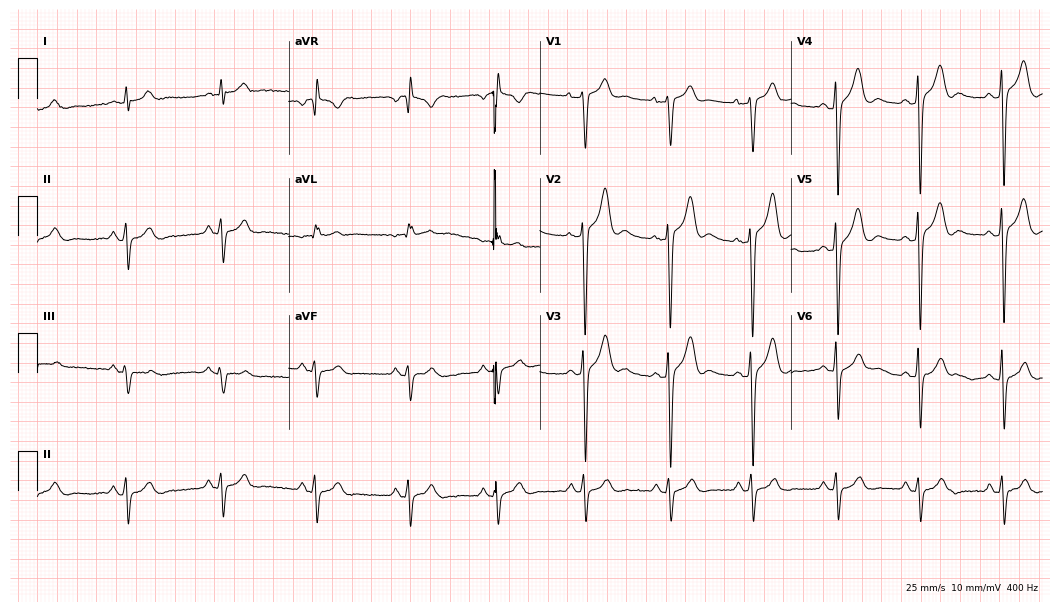
Resting 12-lead electrocardiogram. Patient: a male, 34 years old. None of these six findings is recorded: first-degree AV block, right bundle branch block (RBBB), left bundle branch block (LBBB), sinus bradycardia, atrial fibrillation (AF), sinus tachycardia. Only these six findings were labelled.